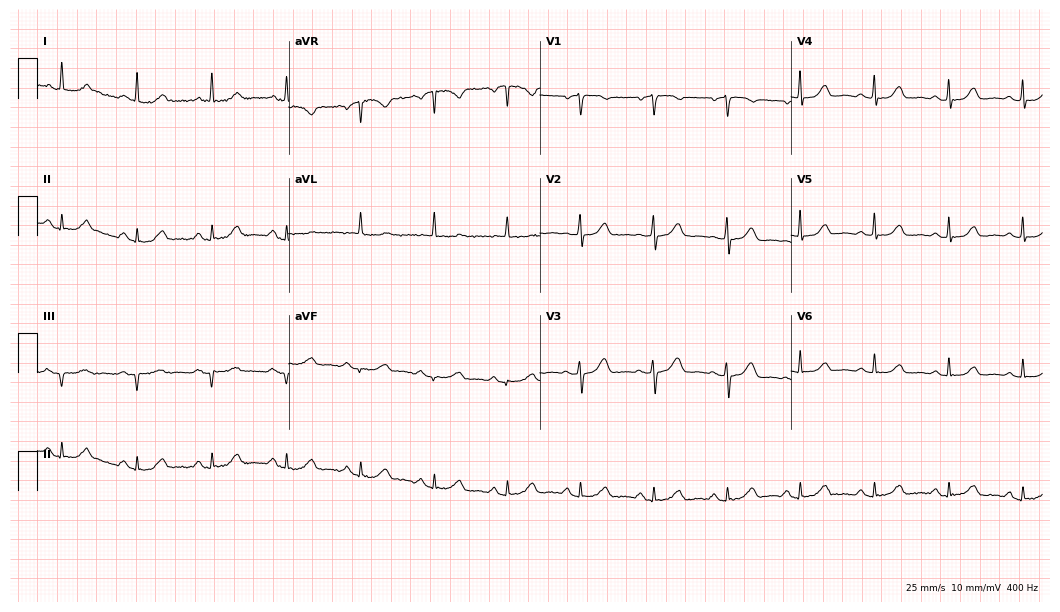
ECG — a female patient, 64 years old. Labelled as a normal ECG.